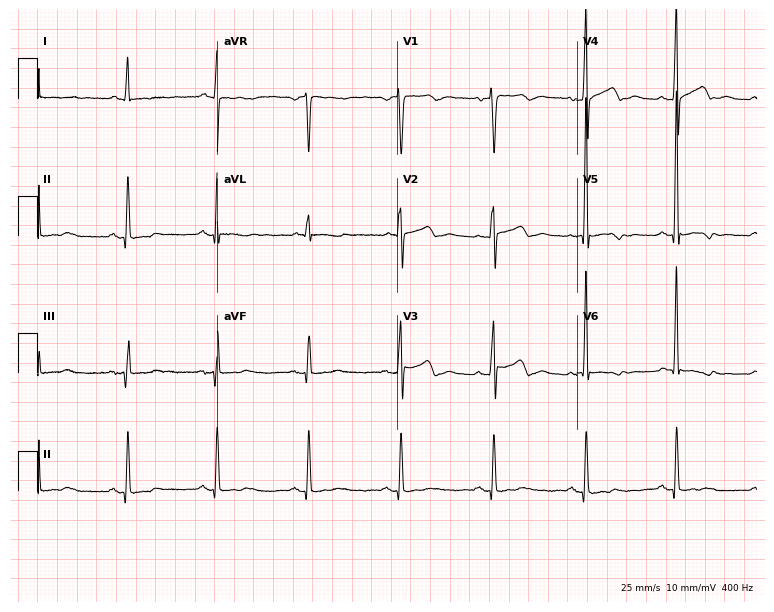
ECG (7.3-second recording at 400 Hz) — a female patient, 55 years old. Labelled as a normal ECG.